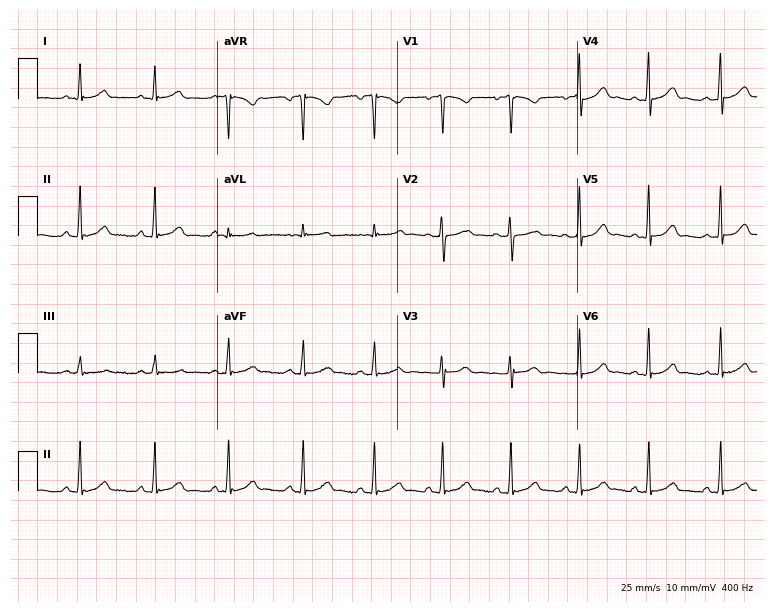
Electrocardiogram (7.3-second recording at 400 Hz), a 24-year-old woman. Overall reading on record: normal ECG.